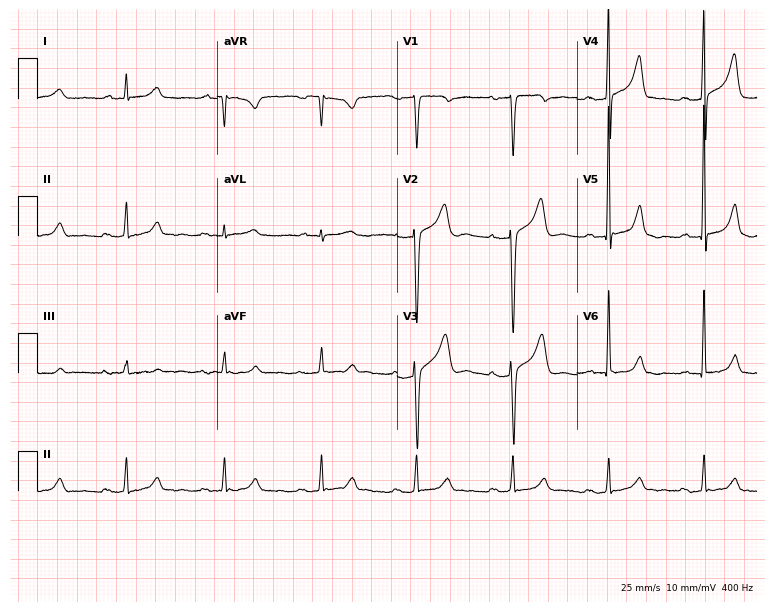
Electrocardiogram (7.3-second recording at 400 Hz), a 56-year-old male. Interpretation includes first-degree AV block.